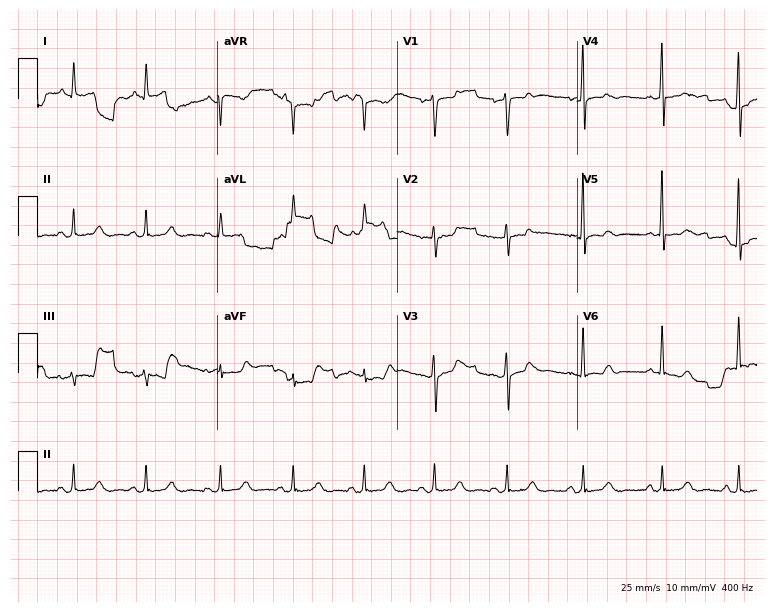
12-lead ECG from a female, 56 years old. Labelled as a normal ECG.